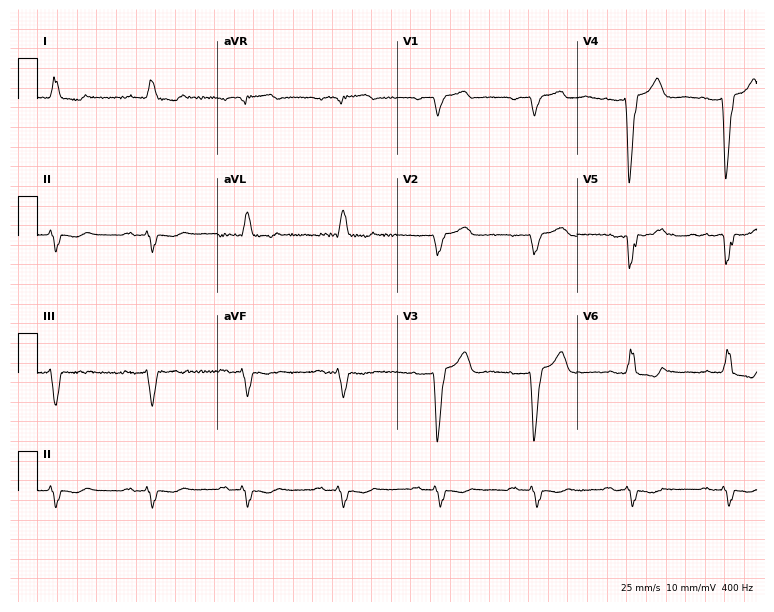
Resting 12-lead electrocardiogram (7.3-second recording at 400 Hz). Patient: a female, 62 years old. The tracing shows left bundle branch block.